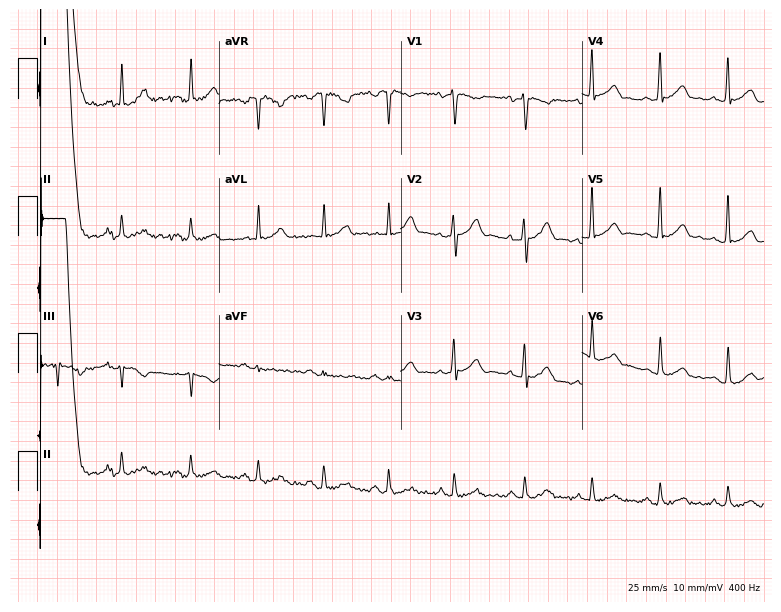
12-lead ECG (7.4-second recording at 400 Hz) from a 33-year-old man. Screened for six findings — first-degree AV block, right bundle branch block (RBBB), left bundle branch block (LBBB), sinus bradycardia, atrial fibrillation (AF), sinus tachycardia — none is recorded.